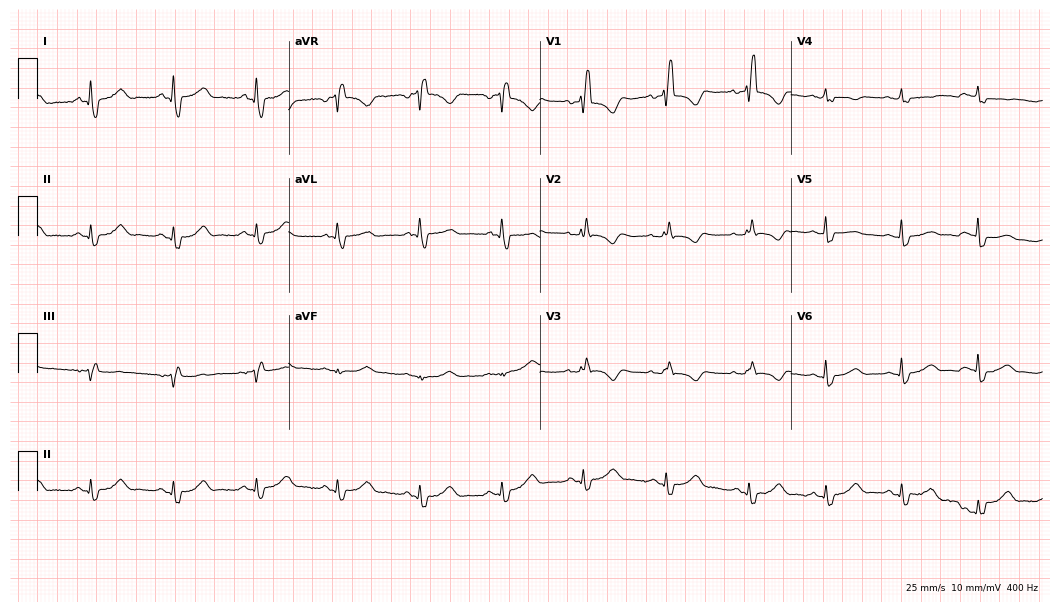
12-lead ECG from a female, 79 years old (10.2-second recording at 400 Hz). Shows right bundle branch block (RBBB).